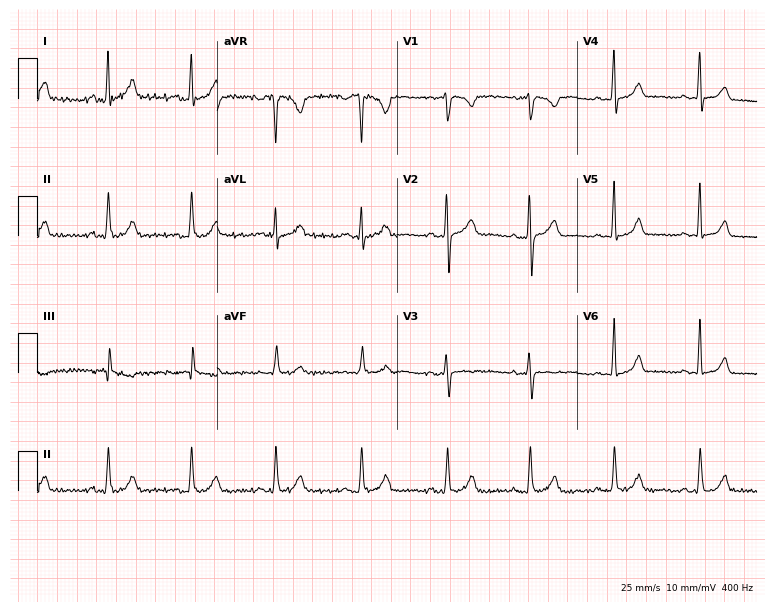
Electrocardiogram (7.3-second recording at 400 Hz), a female patient, 40 years old. Overall reading on record: normal ECG.